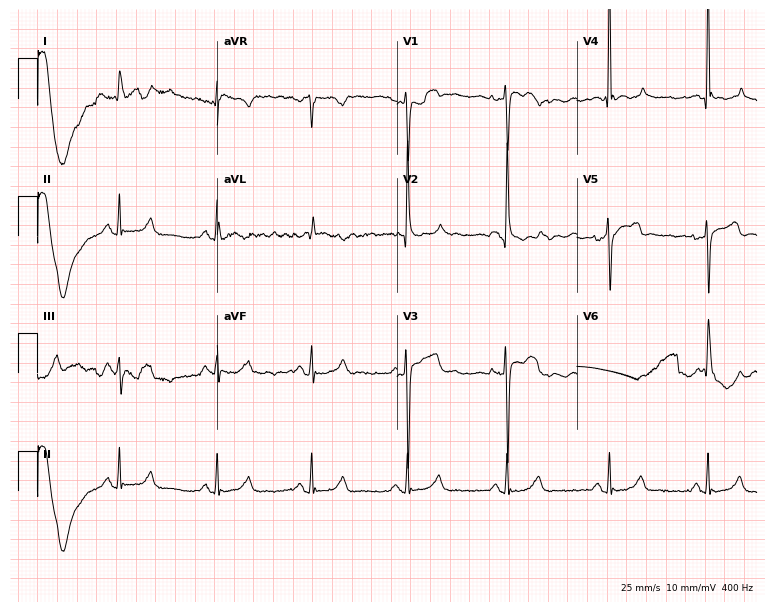
Electrocardiogram (7.3-second recording at 400 Hz), a 63-year-old man. Of the six screened findings (first-degree AV block, right bundle branch block (RBBB), left bundle branch block (LBBB), sinus bradycardia, atrial fibrillation (AF), sinus tachycardia), none is recorded.